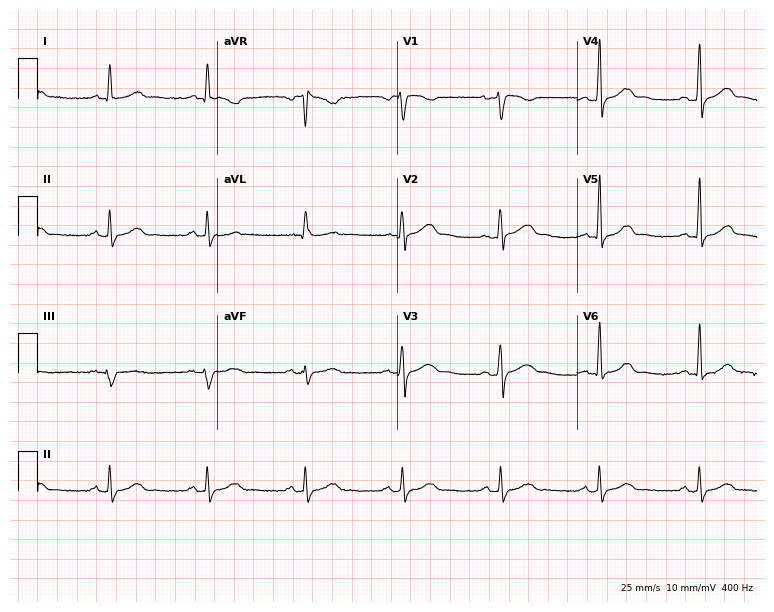
Electrocardiogram (7.3-second recording at 400 Hz), a female, 54 years old. Overall reading on record: normal ECG.